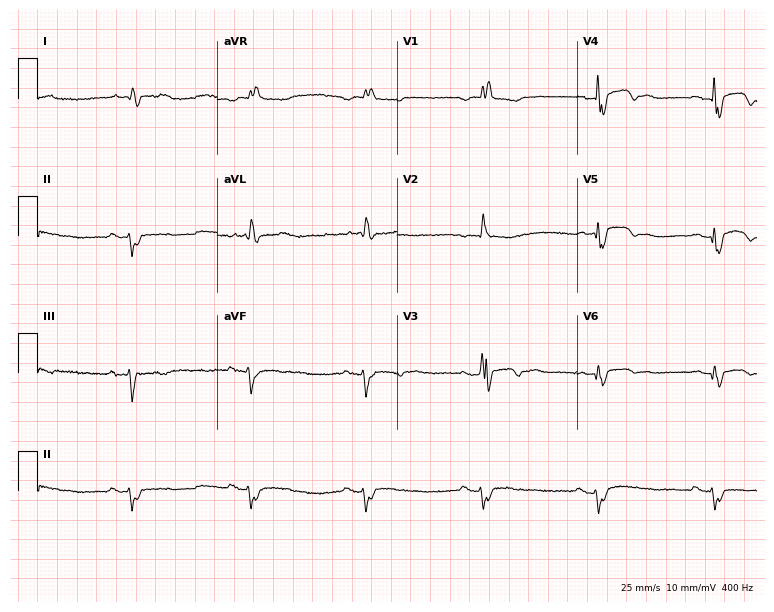
12-lead ECG from a man, 77 years old. Findings include right bundle branch block.